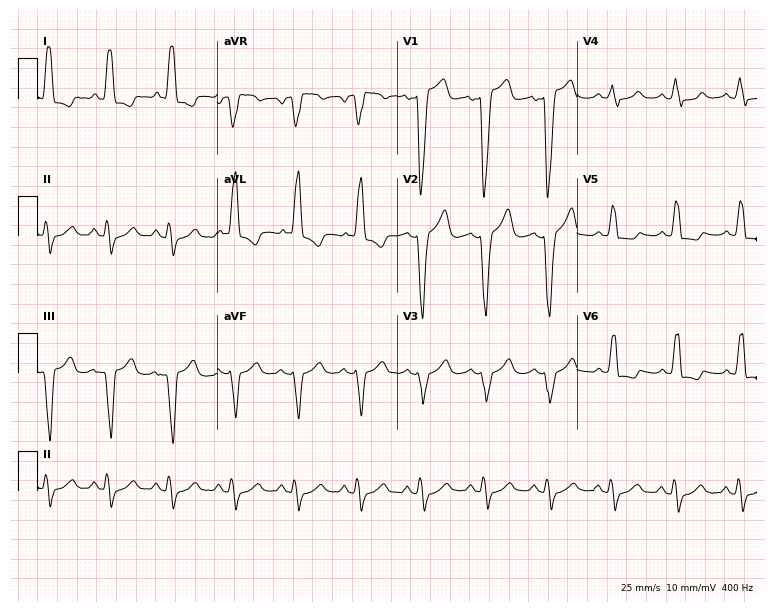
Standard 12-lead ECG recorded from a female patient, 53 years old. The tracing shows left bundle branch block (LBBB).